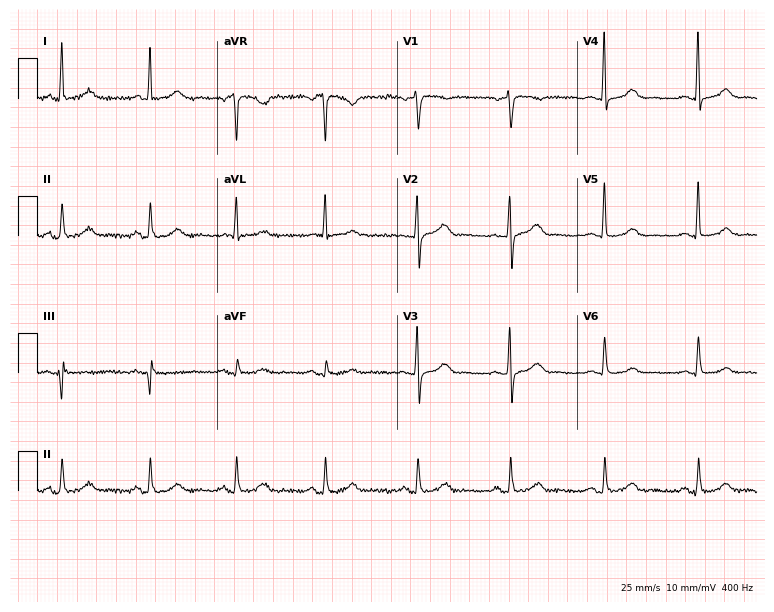
ECG — a woman, 60 years old. Labelled as a normal ECG.